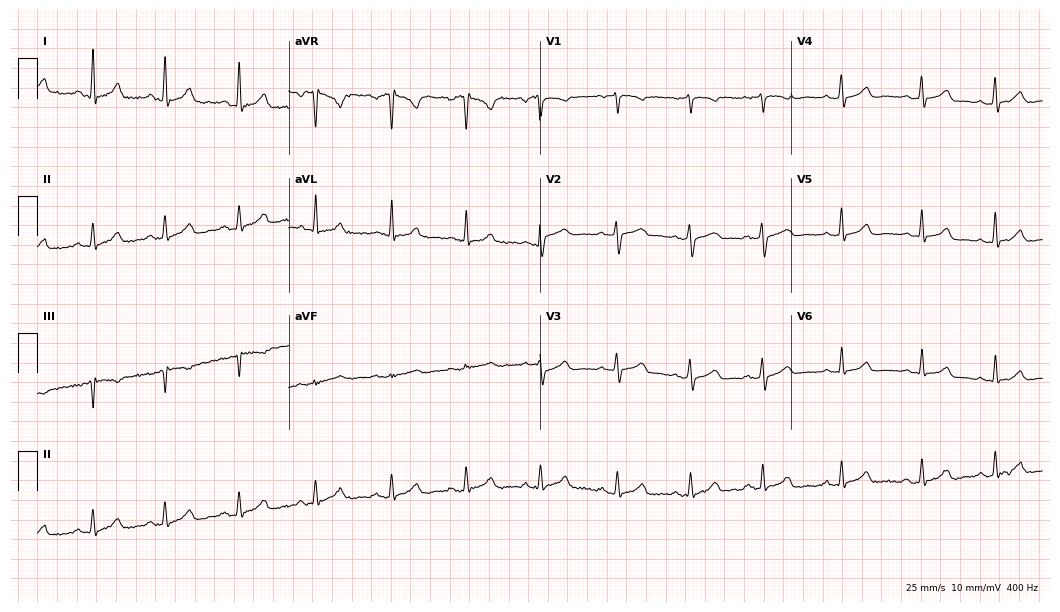
Standard 12-lead ECG recorded from a 41-year-old woman (10.2-second recording at 400 Hz). Read as a normal ECG.